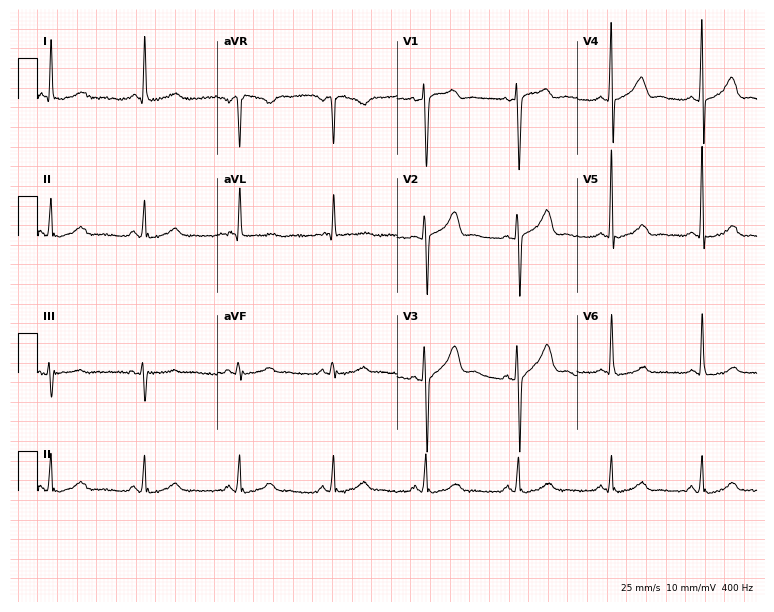
Electrocardiogram (7.3-second recording at 400 Hz), a 55-year-old woman. Of the six screened findings (first-degree AV block, right bundle branch block (RBBB), left bundle branch block (LBBB), sinus bradycardia, atrial fibrillation (AF), sinus tachycardia), none is recorded.